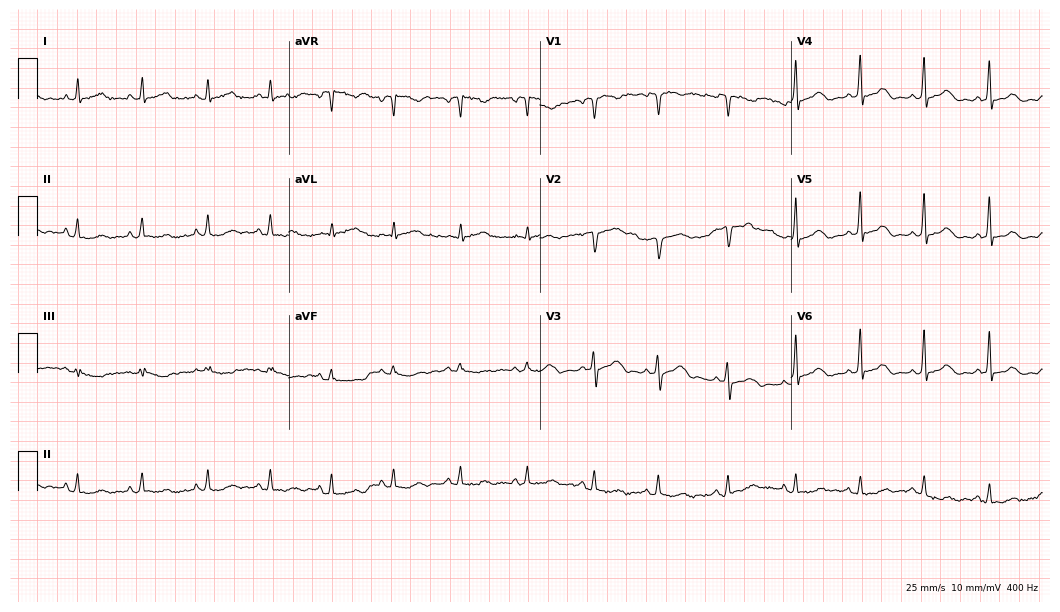
12-lead ECG from a woman, 37 years old (10.2-second recording at 400 Hz). No first-degree AV block, right bundle branch block, left bundle branch block, sinus bradycardia, atrial fibrillation or sinus tachycardia recorded for this tracing.